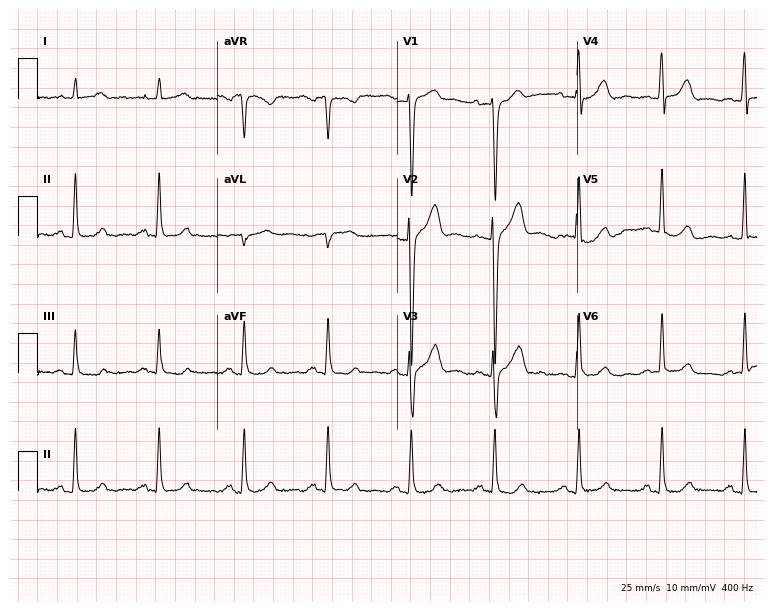
Electrocardiogram, a 55-year-old man. Of the six screened findings (first-degree AV block, right bundle branch block (RBBB), left bundle branch block (LBBB), sinus bradycardia, atrial fibrillation (AF), sinus tachycardia), none is recorded.